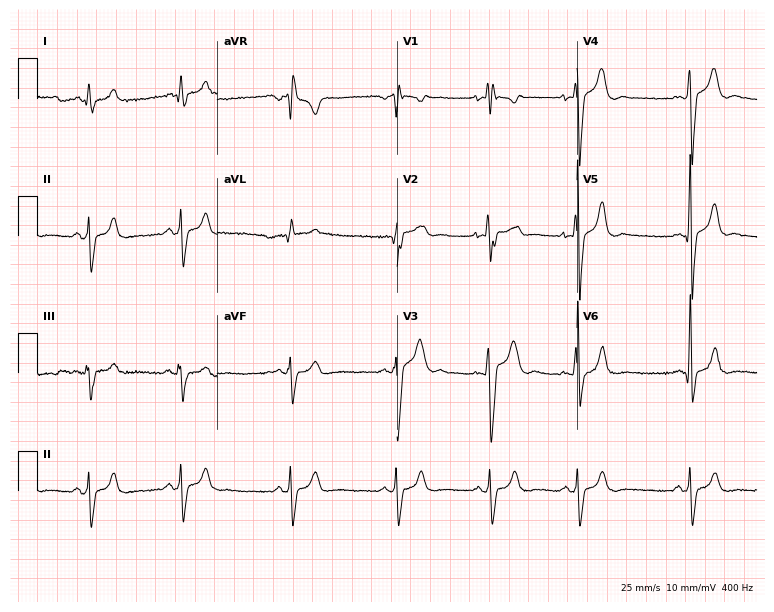
Resting 12-lead electrocardiogram. Patient: a man, 18 years old. The tracing shows right bundle branch block.